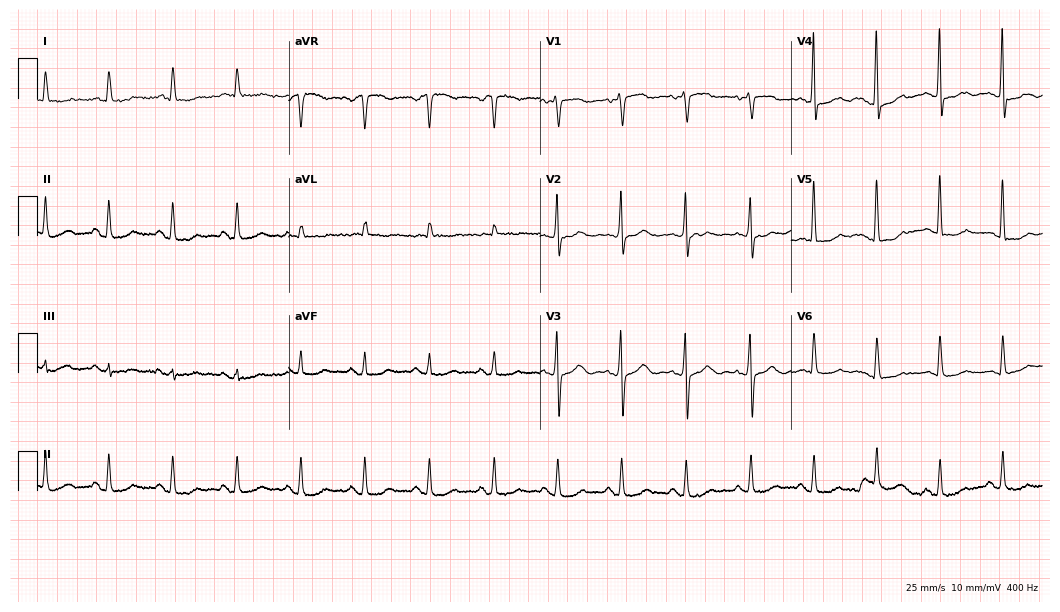
Resting 12-lead electrocardiogram. Patient: a female, 76 years old. None of these six findings is recorded: first-degree AV block, right bundle branch block, left bundle branch block, sinus bradycardia, atrial fibrillation, sinus tachycardia.